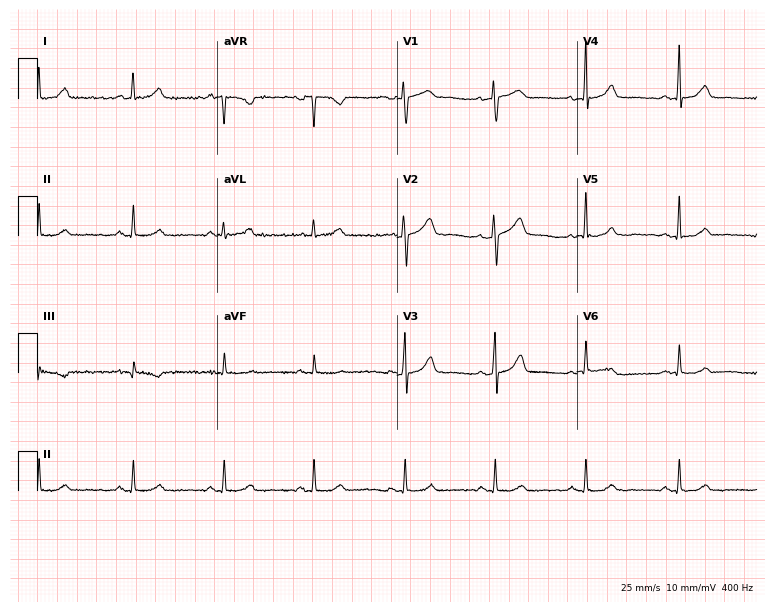
ECG — a 45-year-old woman. Screened for six findings — first-degree AV block, right bundle branch block, left bundle branch block, sinus bradycardia, atrial fibrillation, sinus tachycardia — none is recorded.